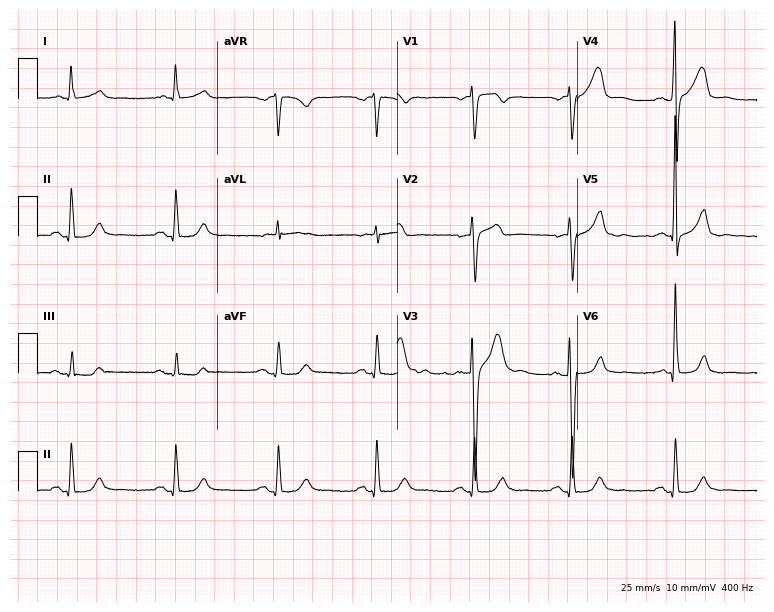
ECG — a male patient, 48 years old. Screened for six findings — first-degree AV block, right bundle branch block (RBBB), left bundle branch block (LBBB), sinus bradycardia, atrial fibrillation (AF), sinus tachycardia — none is recorded. Other findings, if any, are not listed.